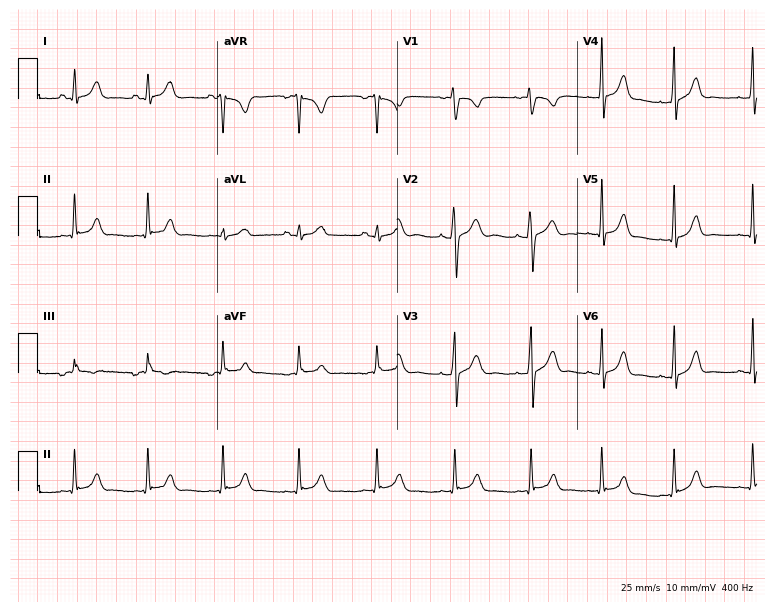
Electrocardiogram, a 20-year-old woman. Overall reading on record: normal ECG.